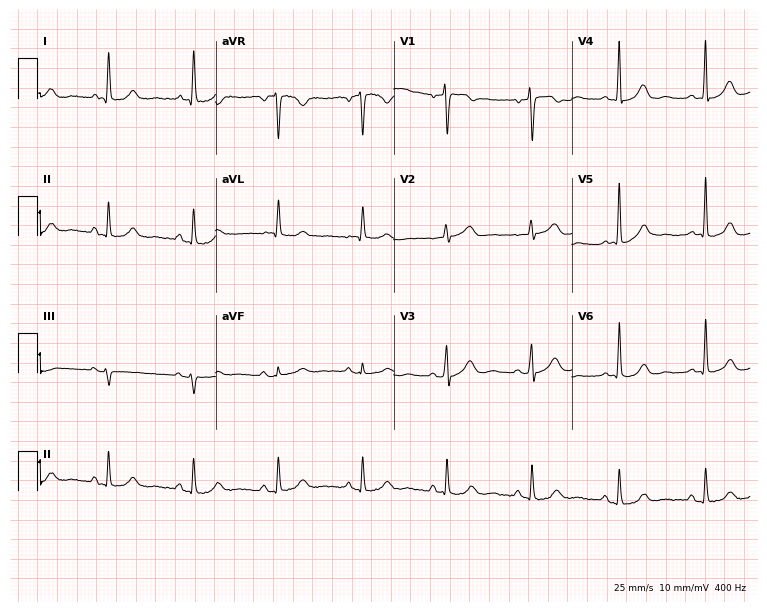
Electrocardiogram, a female, 72 years old. Of the six screened findings (first-degree AV block, right bundle branch block, left bundle branch block, sinus bradycardia, atrial fibrillation, sinus tachycardia), none is recorded. Other findings, if any, are not listed.